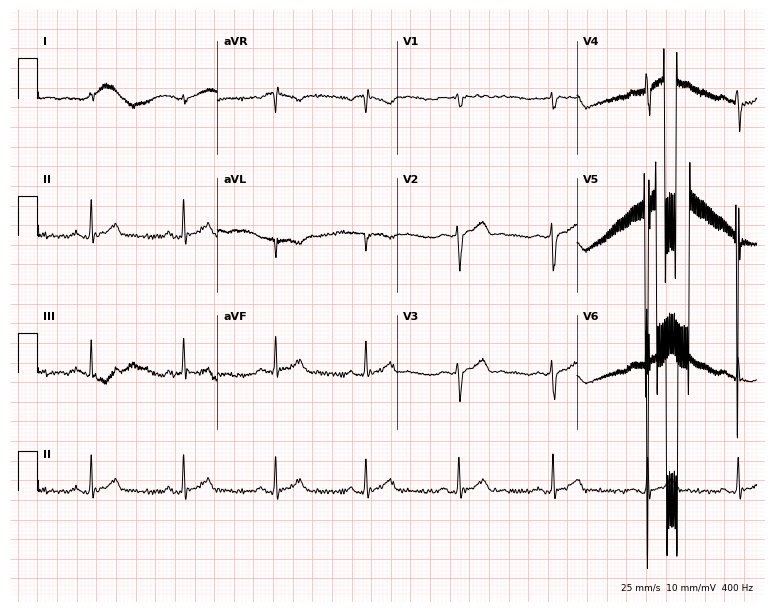
Electrocardiogram (7.3-second recording at 400 Hz), a male, 33 years old. Of the six screened findings (first-degree AV block, right bundle branch block, left bundle branch block, sinus bradycardia, atrial fibrillation, sinus tachycardia), none is recorded. Other findings, if any, are not listed.